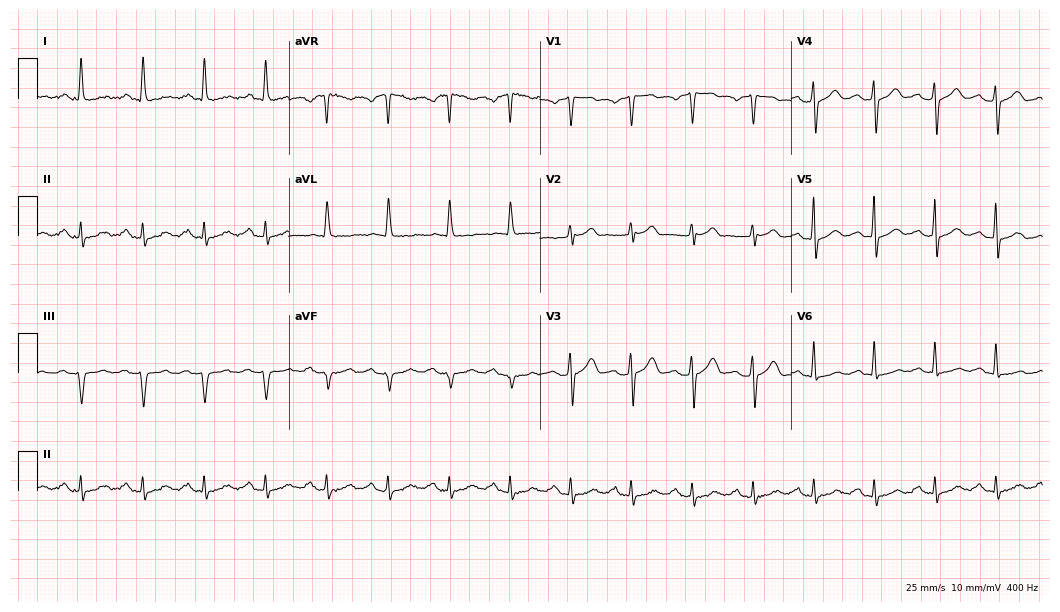
Electrocardiogram, a 58-year-old man. Overall reading on record: normal ECG.